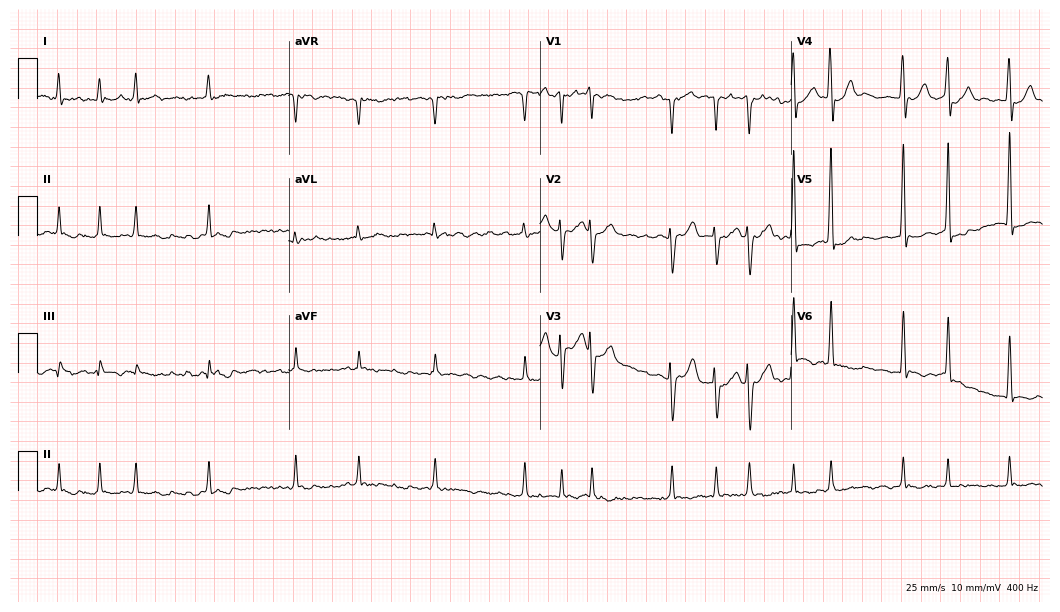
12-lead ECG from an 80-year-old male. No first-degree AV block, right bundle branch block, left bundle branch block, sinus bradycardia, atrial fibrillation or sinus tachycardia recorded for this tracing.